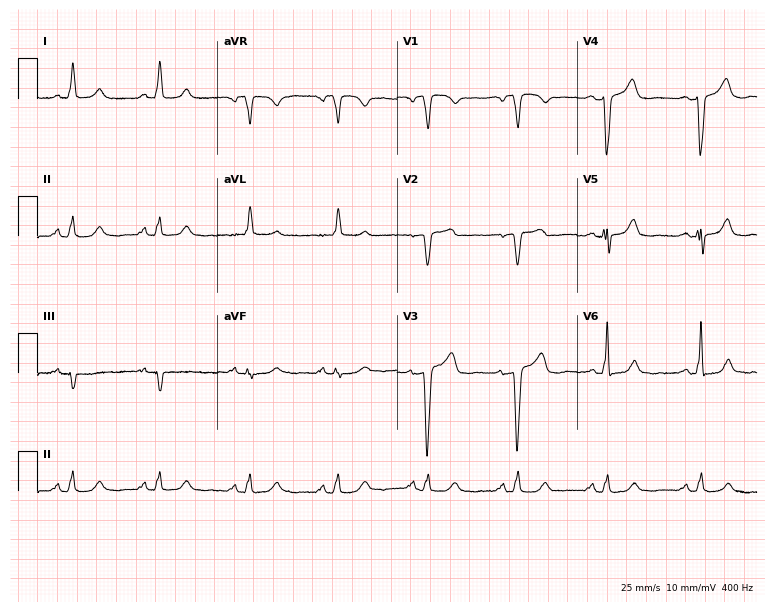
12-lead ECG from a female patient, 69 years old. No first-degree AV block, right bundle branch block, left bundle branch block, sinus bradycardia, atrial fibrillation or sinus tachycardia recorded for this tracing.